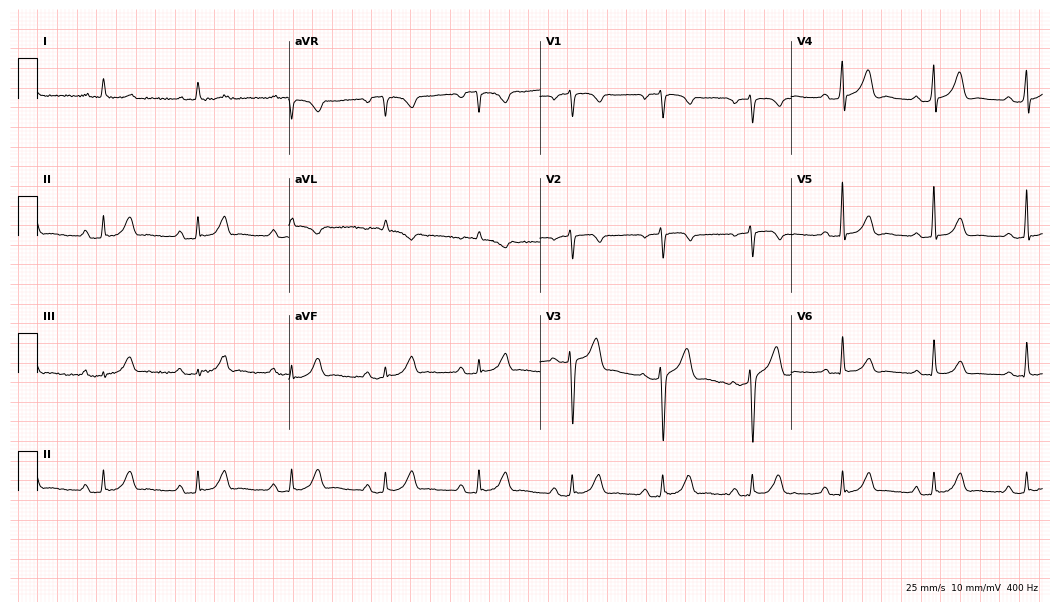
ECG (10.2-second recording at 400 Hz) — a man, 85 years old. Labelled as a normal ECG.